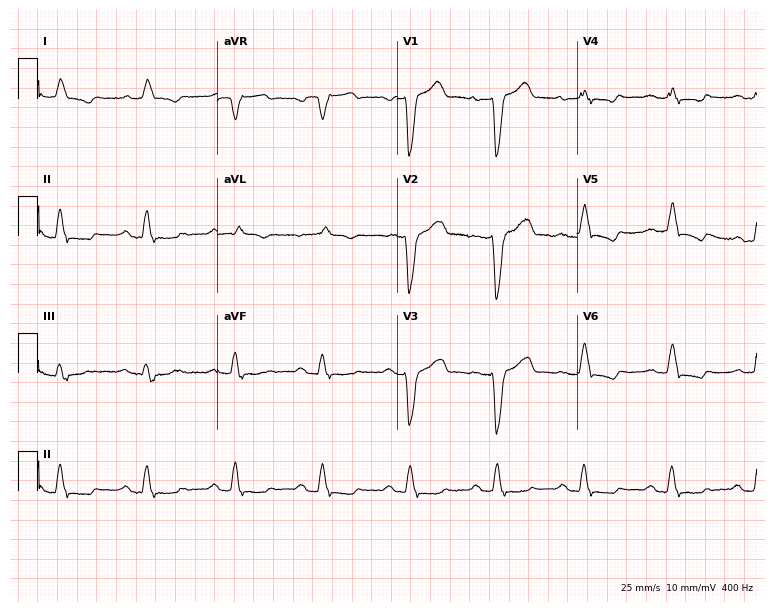
Resting 12-lead electrocardiogram (7.3-second recording at 400 Hz). Patient: a male, 84 years old. The tracing shows left bundle branch block.